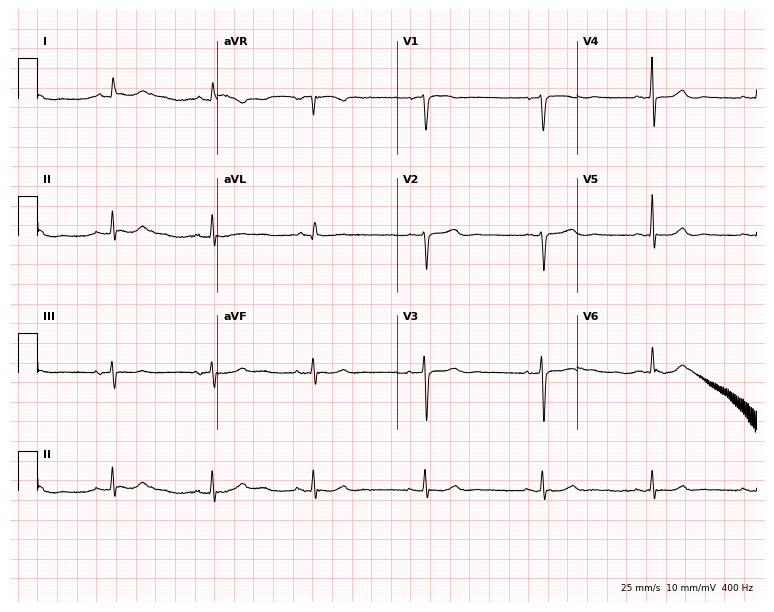
Standard 12-lead ECG recorded from a 76-year-old woman. None of these six findings is recorded: first-degree AV block, right bundle branch block, left bundle branch block, sinus bradycardia, atrial fibrillation, sinus tachycardia. Only these six findings were labelled.